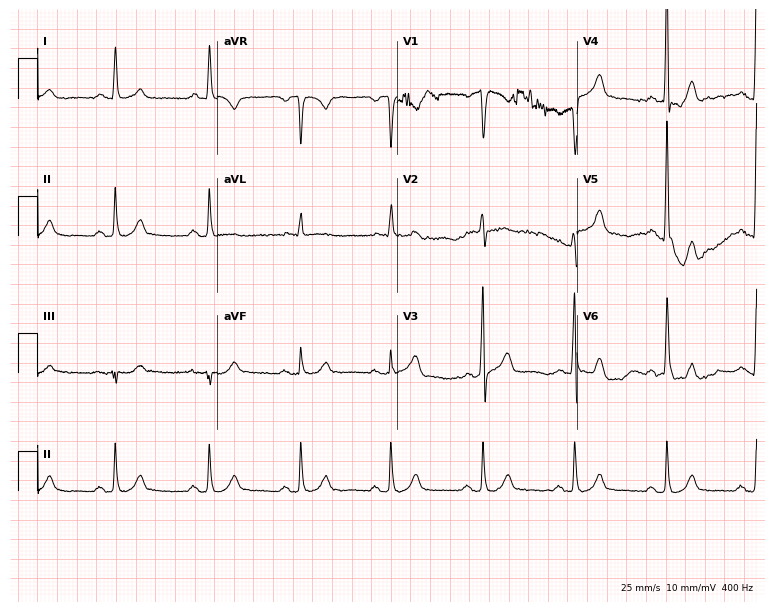
12-lead ECG from a 75-year-old male patient (7.3-second recording at 400 Hz). No first-degree AV block, right bundle branch block (RBBB), left bundle branch block (LBBB), sinus bradycardia, atrial fibrillation (AF) or sinus tachycardia recorded for this tracing.